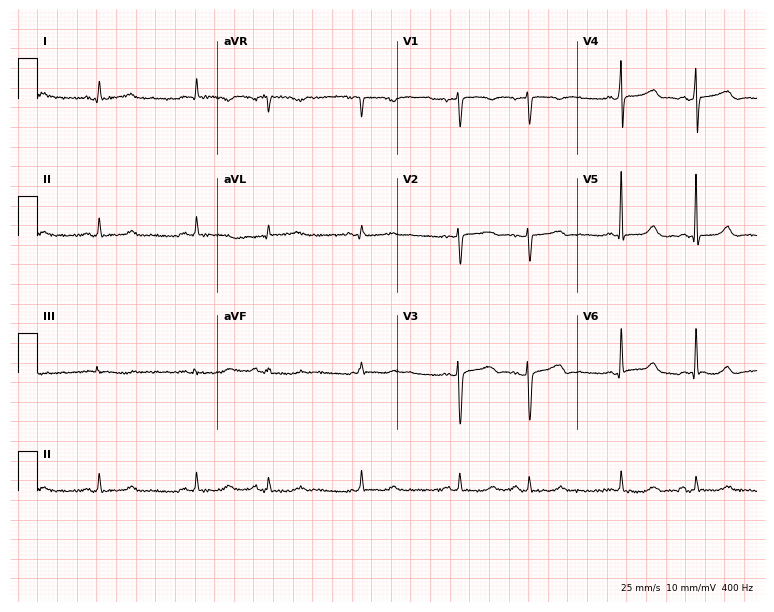
12-lead ECG from a 46-year-old female. Screened for six findings — first-degree AV block, right bundle branch block, left bundle branch block, sinus bradycardia, atrial fibrillation, sinus tachycardia — none is recorded. Findings outside these six are not listed.